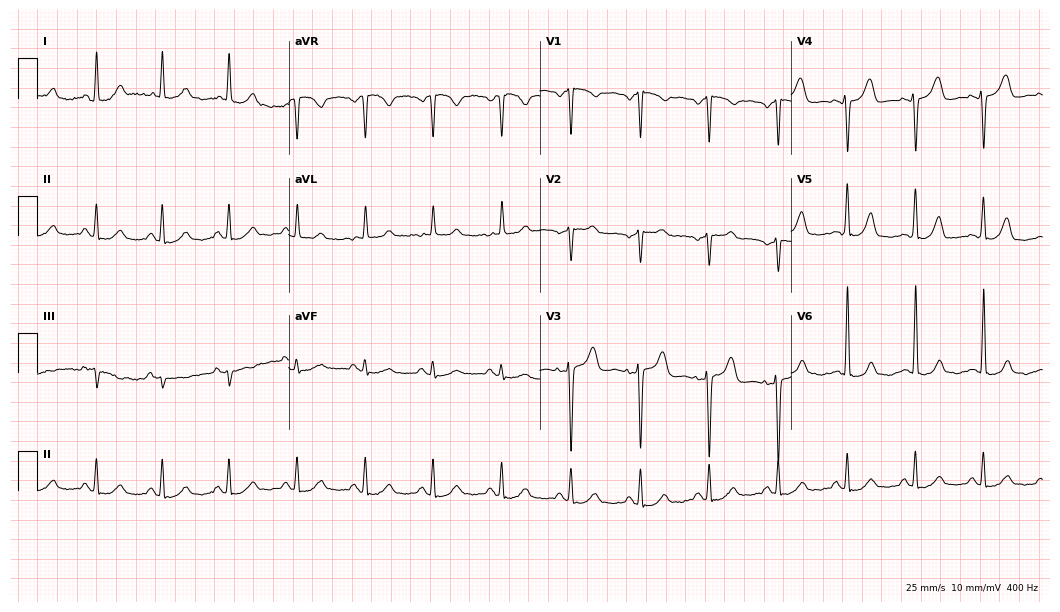
12-lead ECG from a 73-year-old woman. Recorded interpretation: within normal limits.